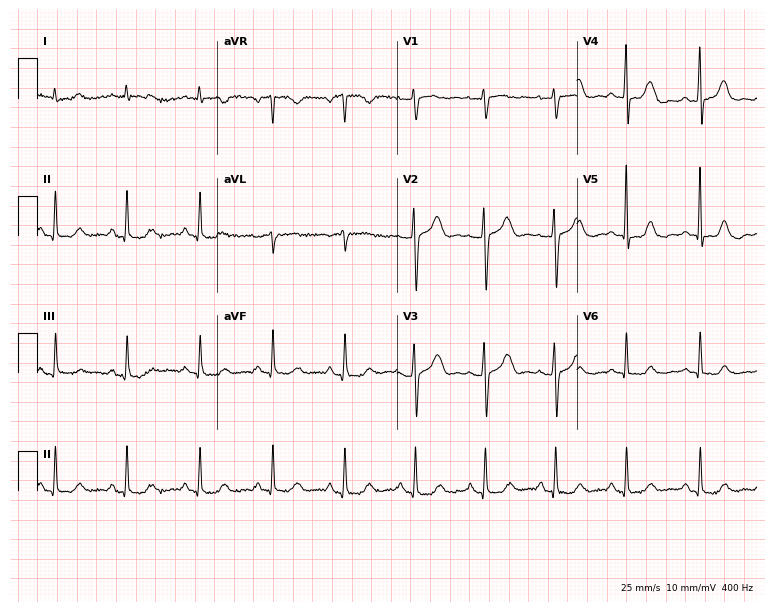
ECG (7.3-second recording at 400 Hz) — a 55-year-old woman. Screened for six findings — first-degree AV block, right bundle branch block (RBBB), left bundle branch block (LBBB), sinus bradycardia, atrial fibrillation (AF), sinus tachycardia — none is recorded.